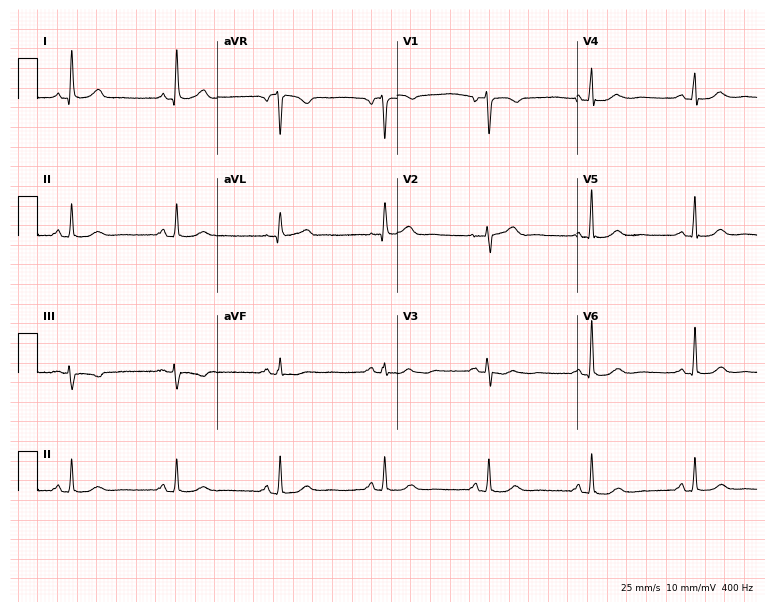
ECG (7.3-second recording at 400 Hz) — a 68-year-old female. Labelled as a normal ECG.